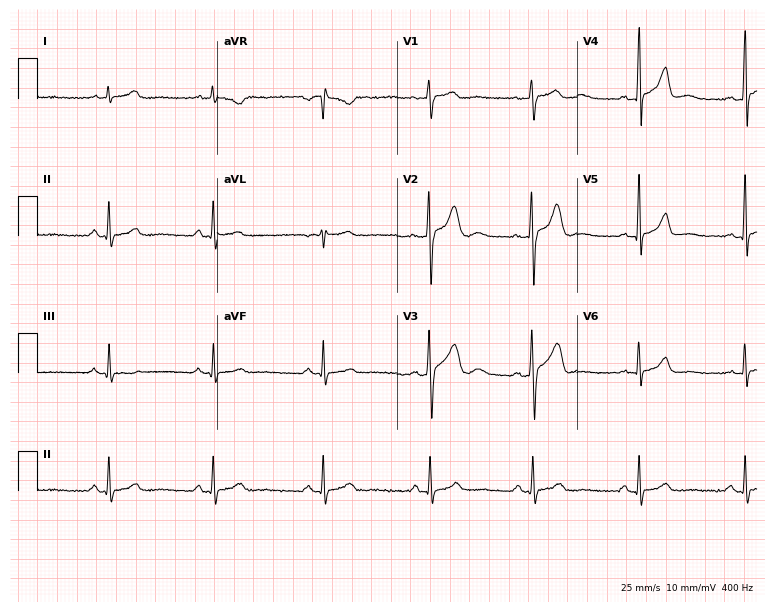
Electrocardiogram, a male, 46 years old. Of the six screened findings (first-degree AV block, right bundle branch block, left bundle branch block, sinus bradycardia, atrial fibrillation, sinus tachycardia), none is recorded.